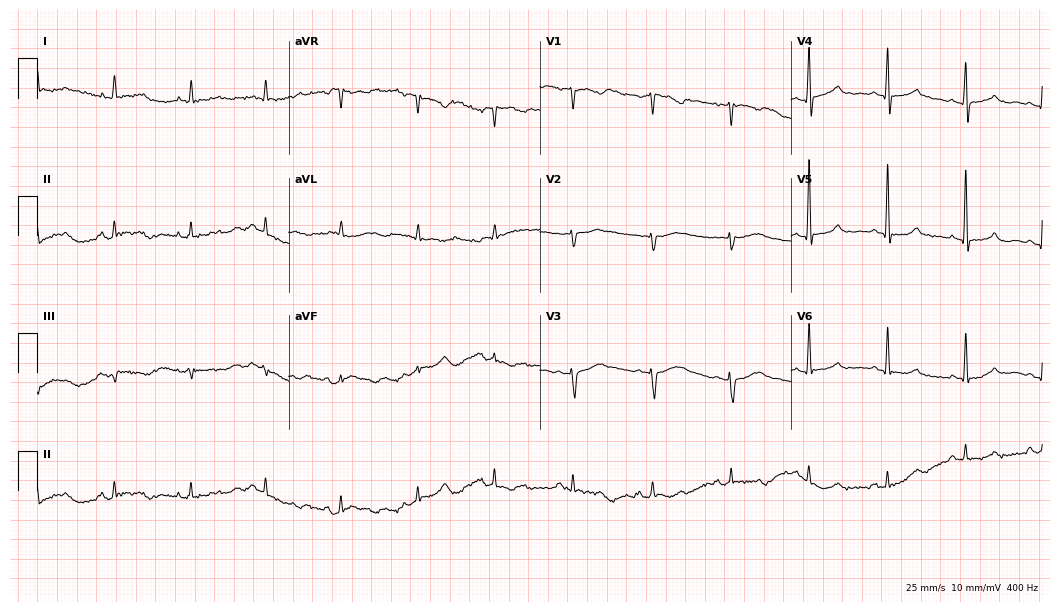
Standard 12-lead ECG recorded from a woman, 75 years old. Read as a normal ECG.